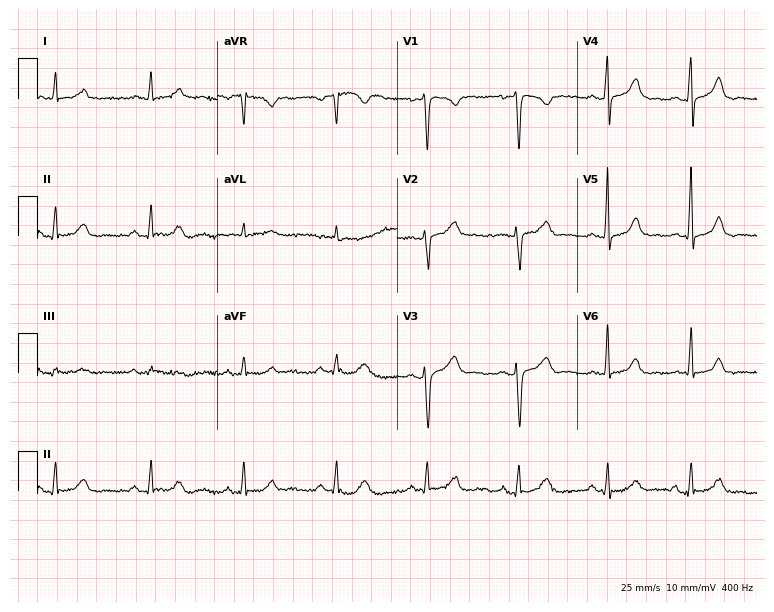
ECG — a female patient, 45 years old. Labelled as a normal ECG.